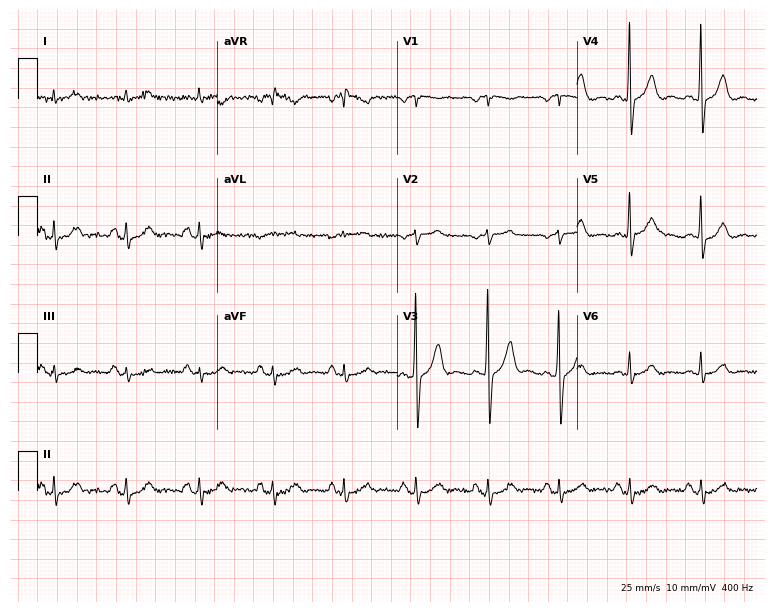
ECG (7.3-second recording at 400 Hz) — a 62-year-old male. Labelled as a normal ECG.